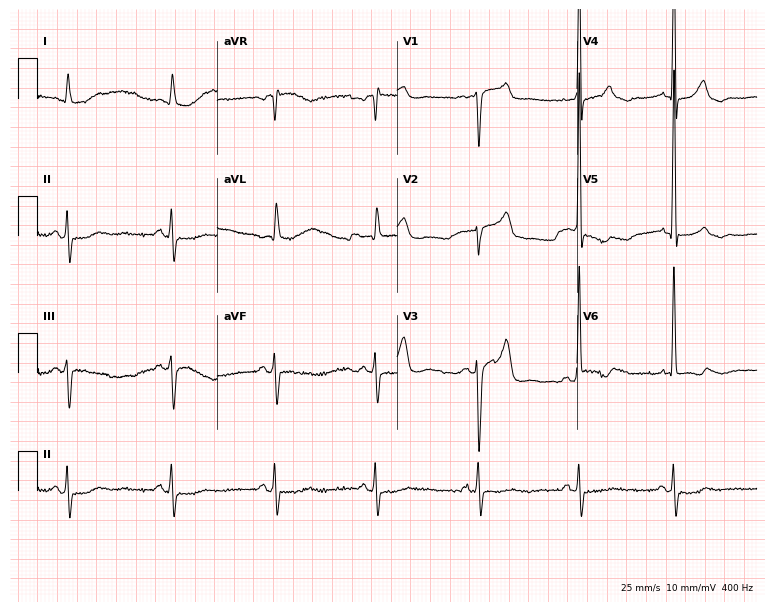
Electrocardiogram (7.3-second recording at 400 Hz), a male, 77 years old. Of the six screened findings (first-degree AV block, right bundle branch block (RBBB), left bundle branch block (LBBB), sinus bradycardia, atrial fibrillation (AF), sinus tachycardia), none is recorded.